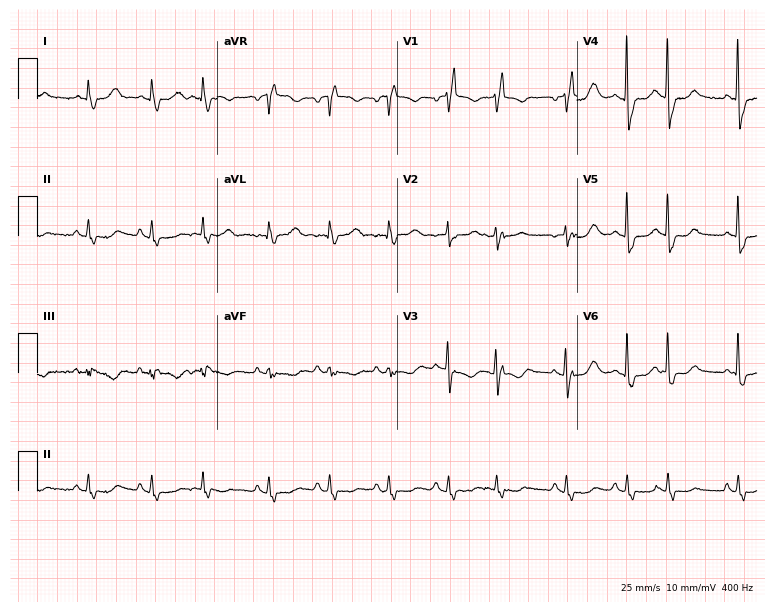
Resting 12-lead electrocardiogram (7.3-second recording at 400 Hz). Patient: a female, 85 years old. The tracing shows right bundle branch block.